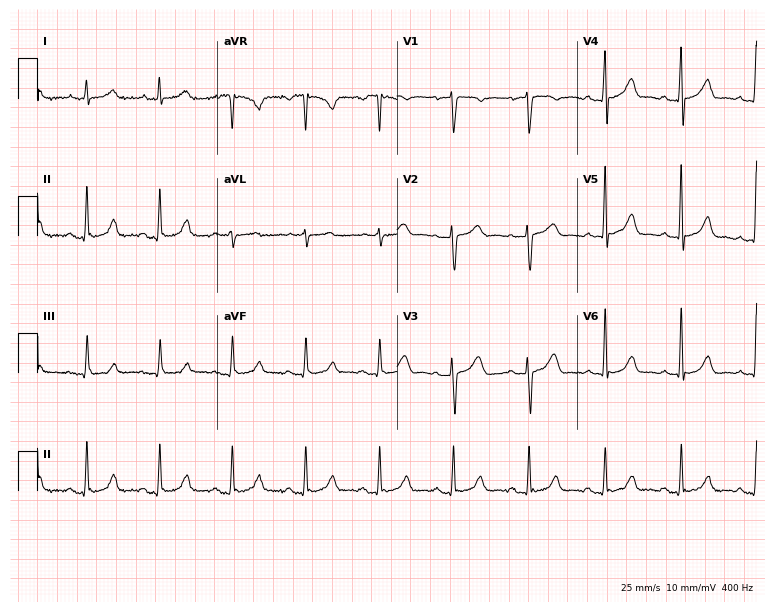
Resting 12-lead electrocardiogram. Patient: a 49-year-old female. Read as a normal ECG.